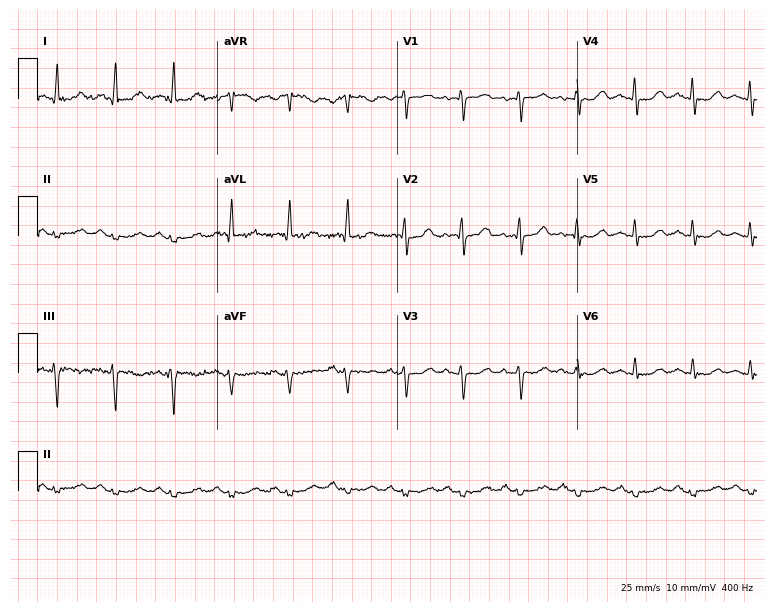
ECG (7.3-second recording at 400 Hz) — a woman, 69 years old. Labelled as a normal ECG.